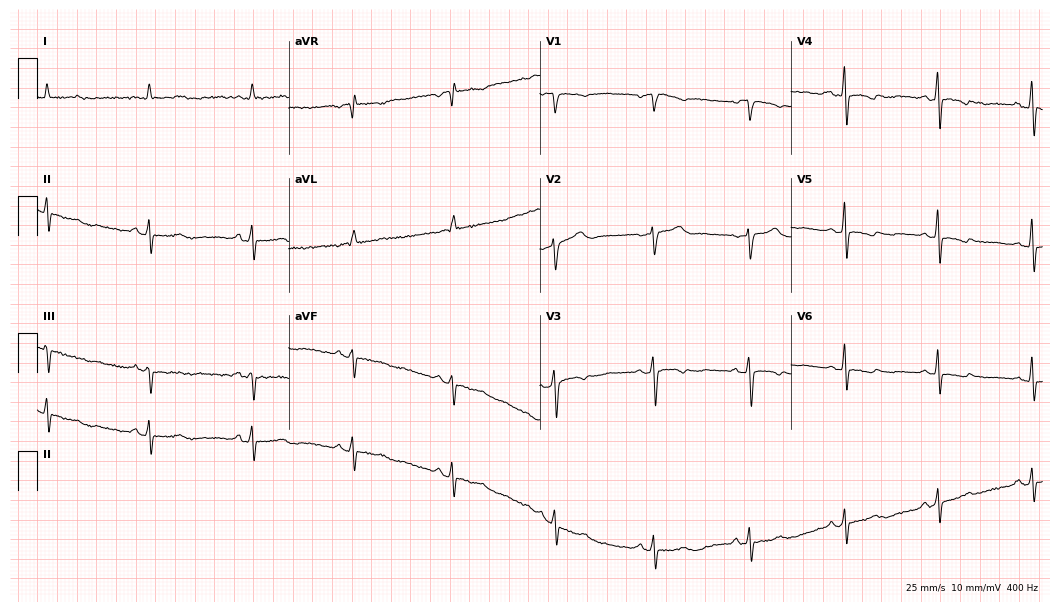
Standard 12-lead ECG recorded from a 54-year-old woman (10.2-second recording at 400 Hz). None of these six findings is recorded: first-degree AV block, right bundle branch block, left bundle branch block, sinus bradycardia, atrial fibrillation, sinus tachycardia. Only these six findings were labelled.